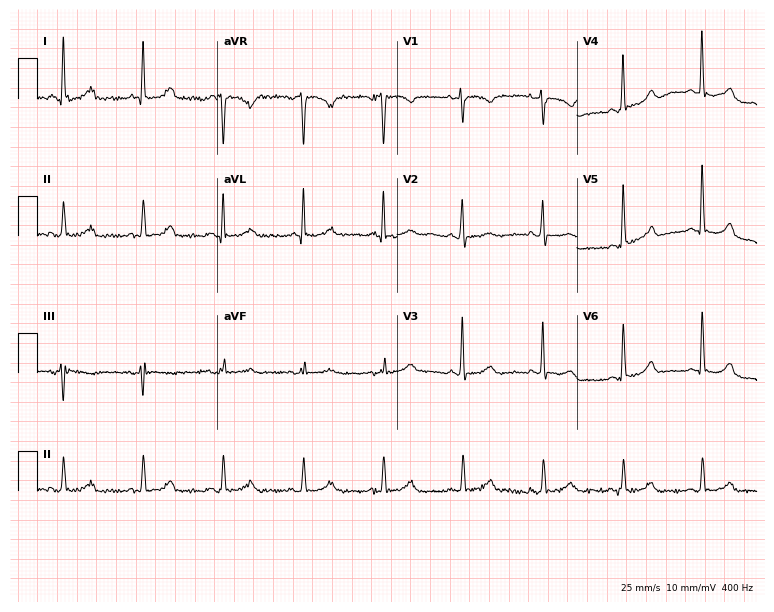
Standard 12-lead ECG recorded from a 67-year-old woman. None of these six findings is recorded: first-degree AV block, right bundle branch block (RBBB), left bundle branch block (LBBB), sinus bradycardia, atrial fibrillation (AF), sinus tachycardia. Other findings, if any, are not listed.